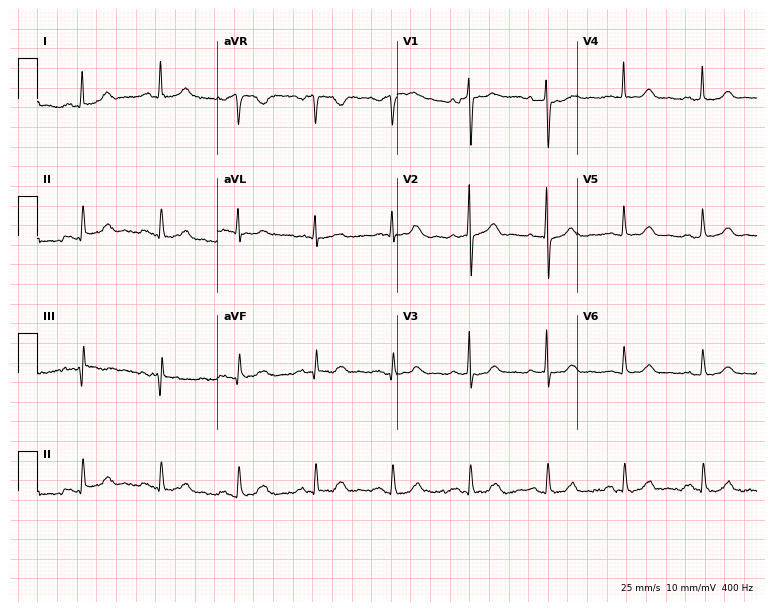
12-lead ECG from a 53-year-old woman. Labelled as a normal ECG.